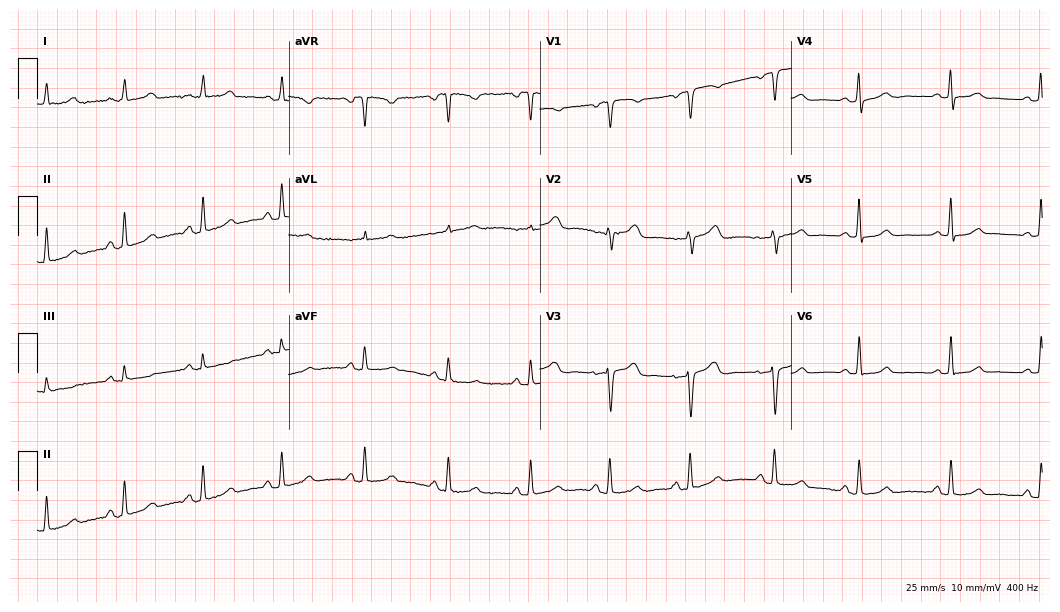
Resting 12-lead electrocardiogram (10.2-second recording at 400 Hz). Patient: a 50-year-old woman. Read as a normal ECG.